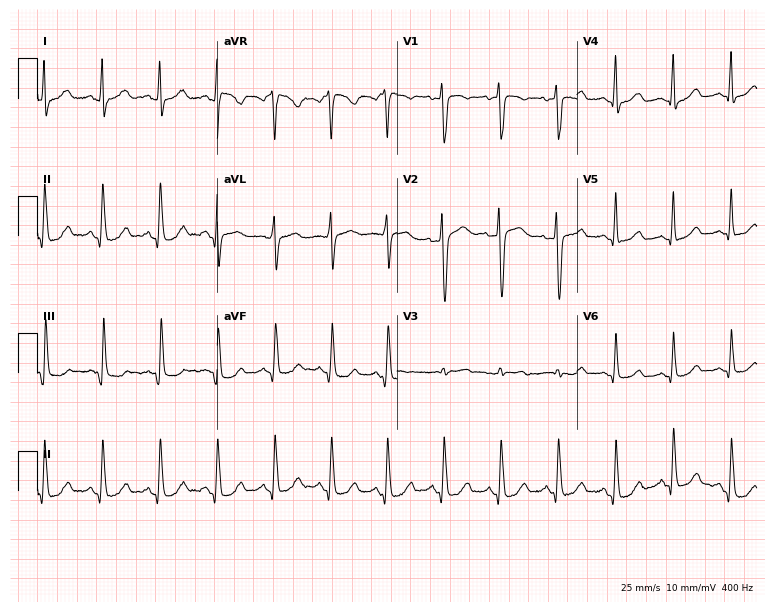
ECG — a 31-year-old female patient. Findings include sinus tachycardia (a sinus rate of 100 beats per minute or more).